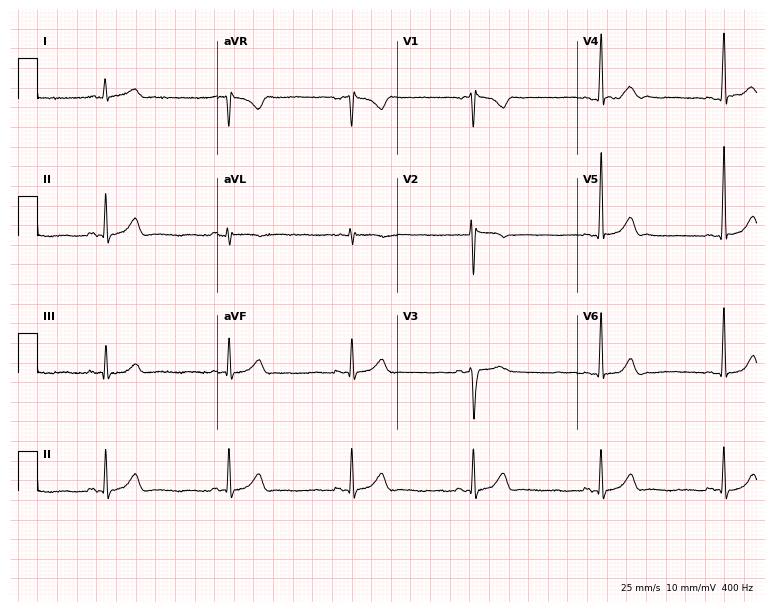
ECG (7.3-second recording at 400 Hz) — a 27-year-old male patient. Findings include sinus bradycardia (a sinus rate of 50 beats per minute or less).